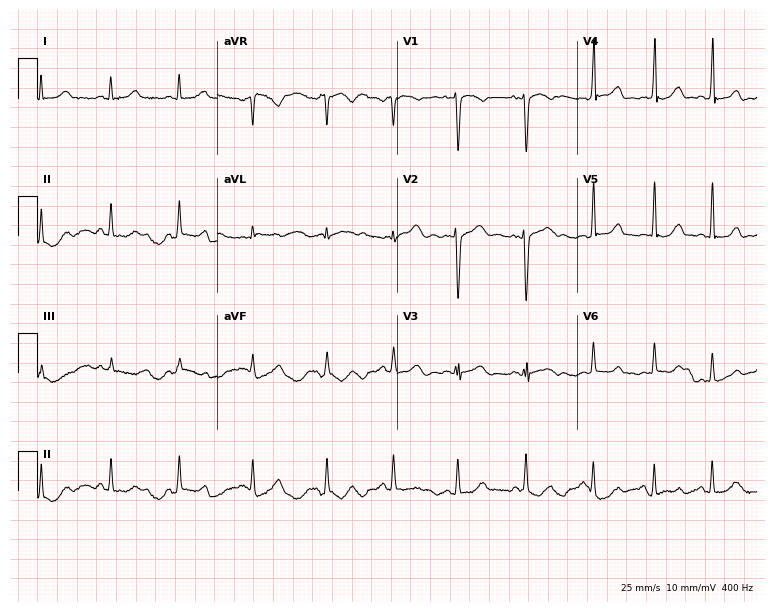
12-lead ECG from a female, 28 years old. Screened for six findings — first-degree AV block, right bundle branch block, left bundle branch block, sinus bradycardia, atrial fibrillation, sinus tachycardia — none is recorded.